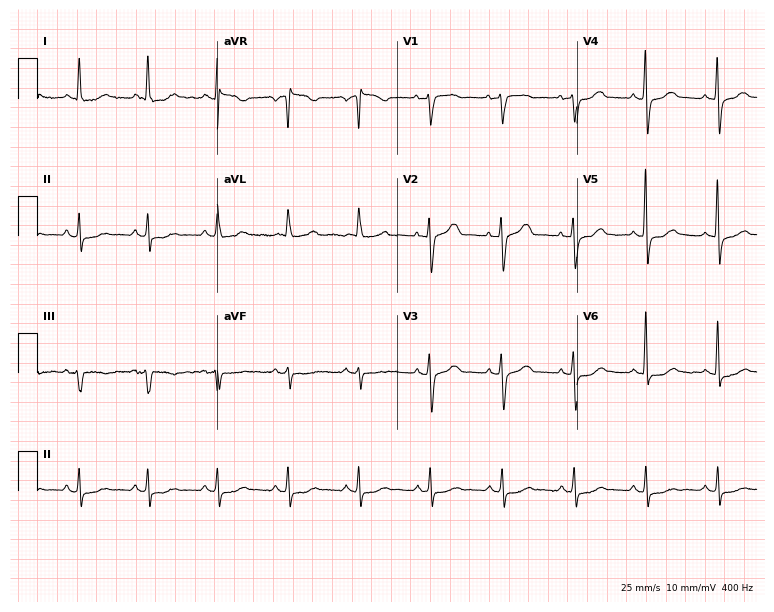
Standard 12-lead ECG recorded from an 83-year-old female (7.3-second recording at 400 Hz). Read as a normal ECG.